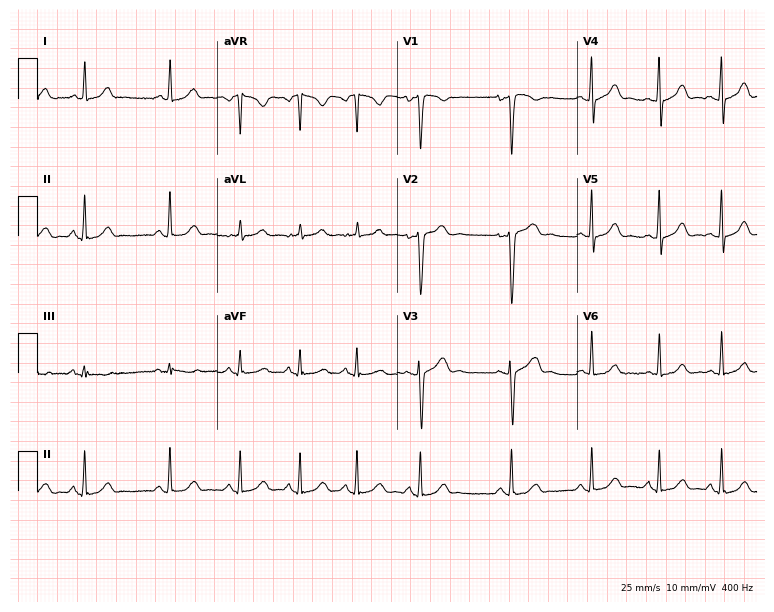
Resting 12-lead electrocardiogram (7.3-second recording at 400 Hz). Patient: a female, 22 years old. Read as a normal ECG.